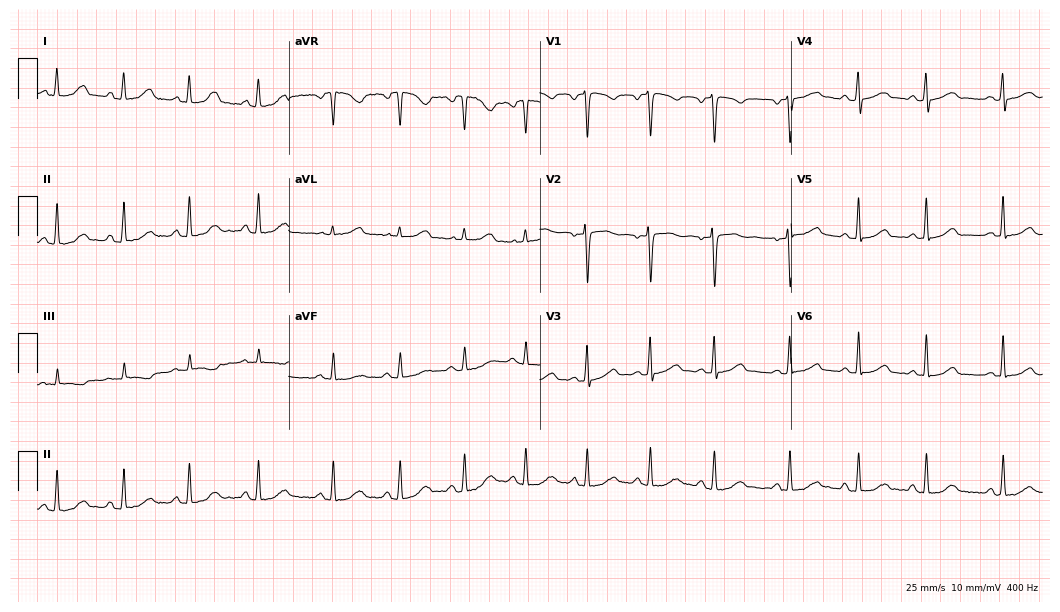
Resting 12-lead electrocardiogram. Patient: a 32-year-old woman. Read as a normal ECG.